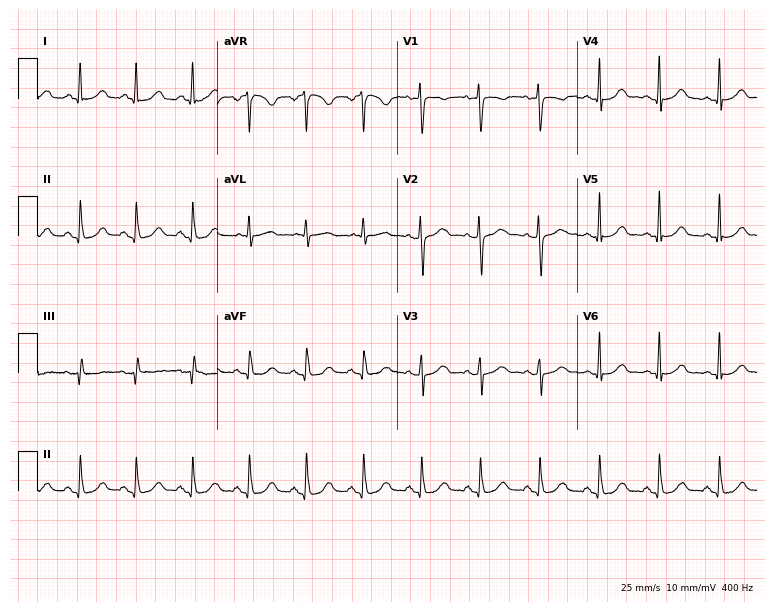
Resting 12-lead electrocardiogram. Patient: a 54-year-old female. Read as a normal ECG.